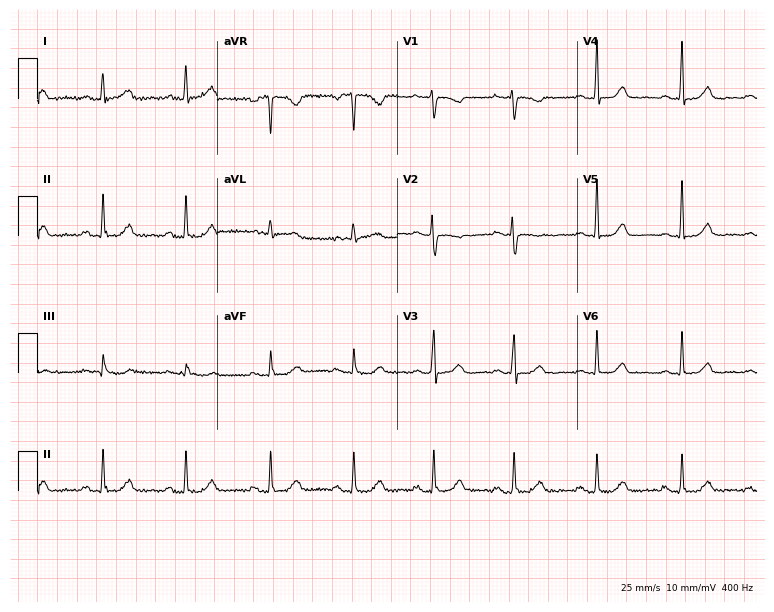
Standard 12-lead ECG recorded from a female patient, 60 years old. Read as a normal ECG.